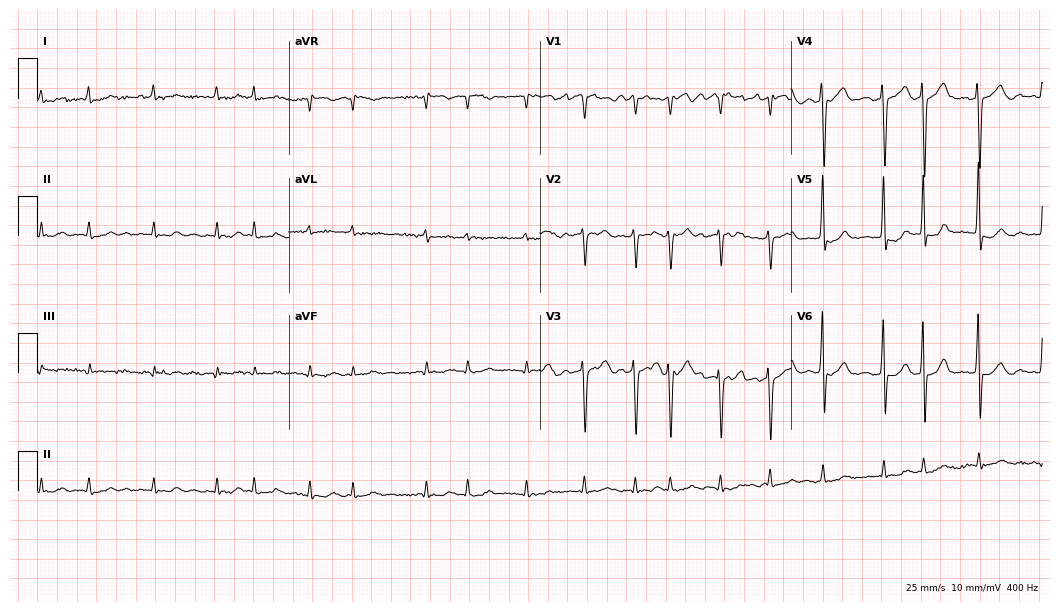
Standard 12-lead ECG recorded from a male patient, 82 years old. The tracing shows atrial fibrillation.